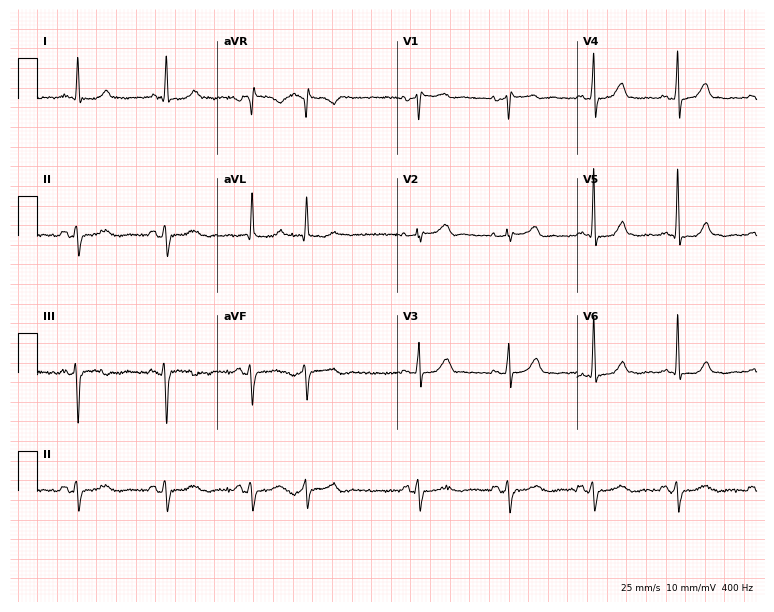
12-lead ECG from a female patient, 76 years old. Screened for six findings — first-degree AV block, right bundle branch block (RBBB), left bundle branch block (LBBB), sinus bradycardia, atrial fibrillation (AF), sinus tachycardia — none is recorded. Only these six findings were labelled.